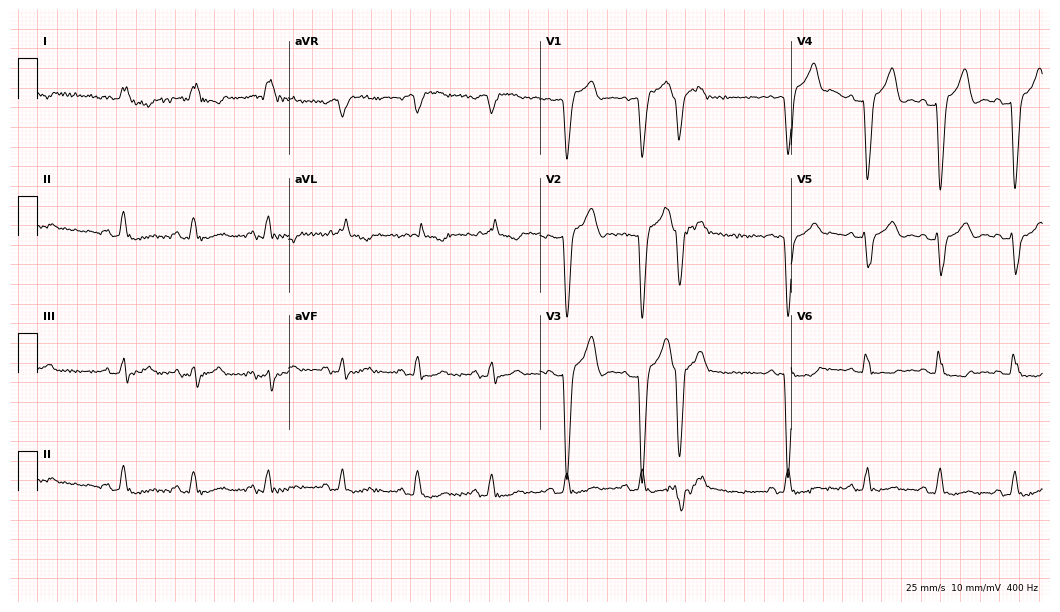
Resting 12-lead electrocardiogram. Patient: a male, 78 years old. The tracing shows left bundle branch block, atrial fibrillation.